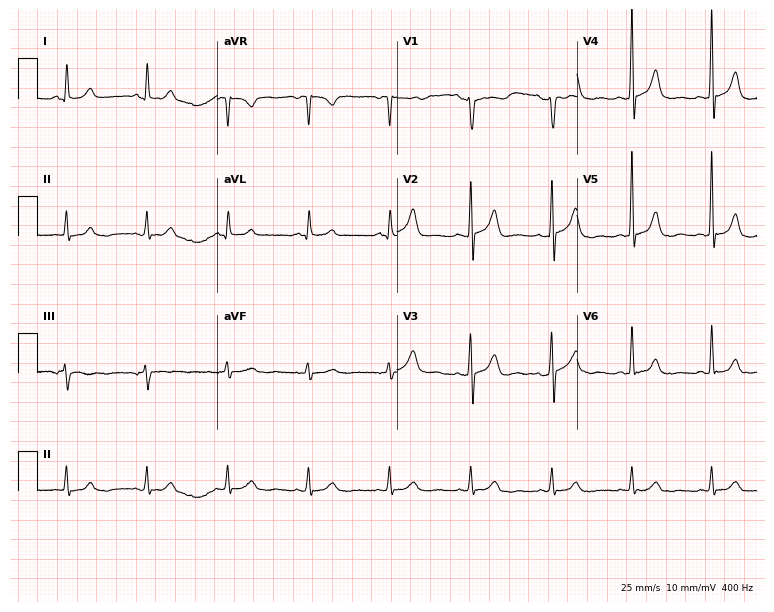
ECG (7.3-second recording at 400 Hz) — a male, 72 years old. Labelled as a normal ECG.